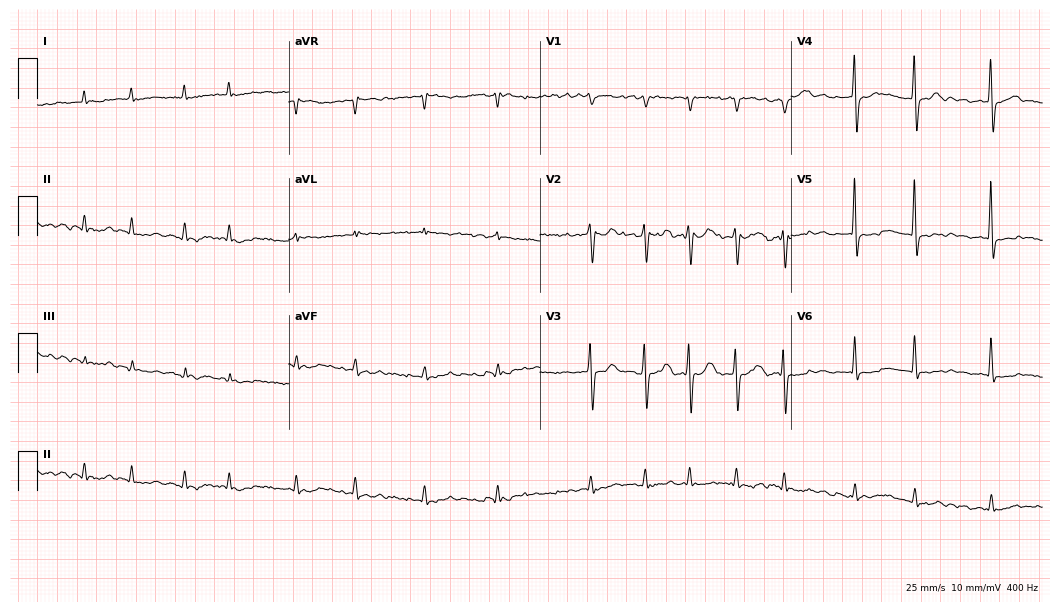
12-lead ECG from a man, 74 years old (10.2-second recording at 400 Hz). No first-degree AV block, right bundle branch block, left bundle branch block, sinus bradycardia, atrial fibrillation or sinus tachycardia recorded for this tracing.